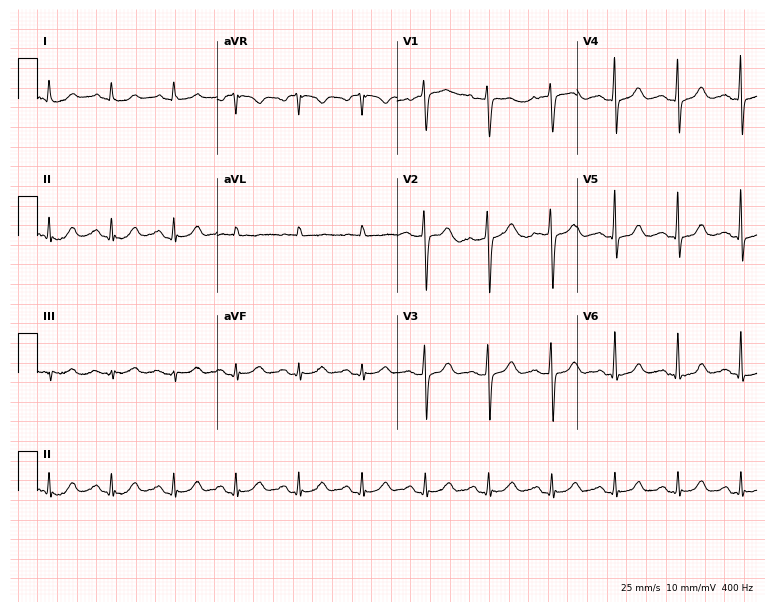
12-lead ECG from a female, 61 years old (7.3-second recording at 400 Hz). No first-degree AV block, right bundle branch block (RBBB), left bundle branch block (LBBB), sinus bradycardia, atrial fibrillation (AF) or sinus tachycardia recorded for this tracing.